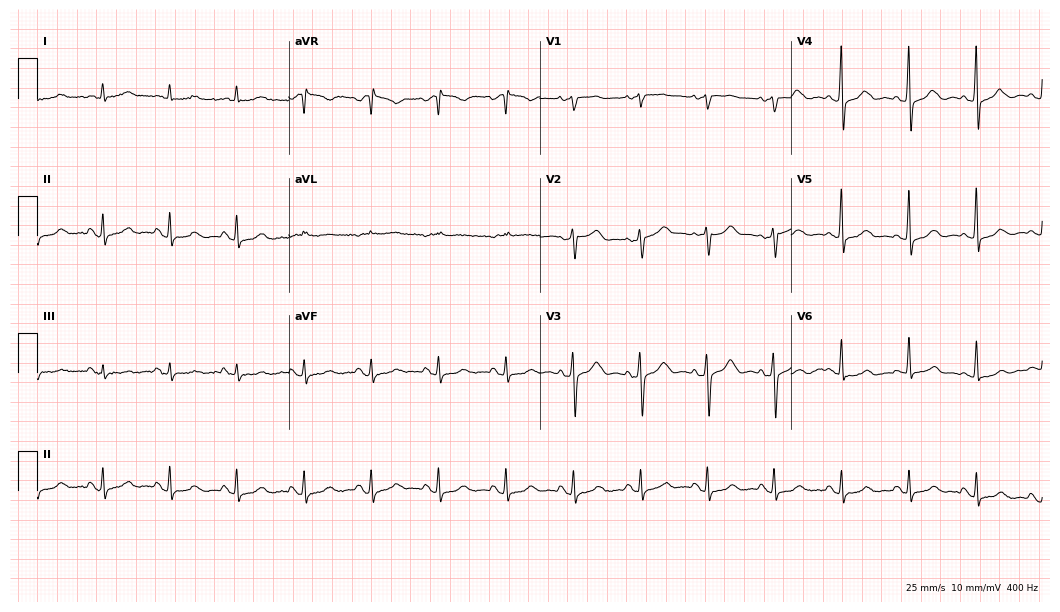
ECG — a 79-year-old woman. Labelled as a normal ECG.